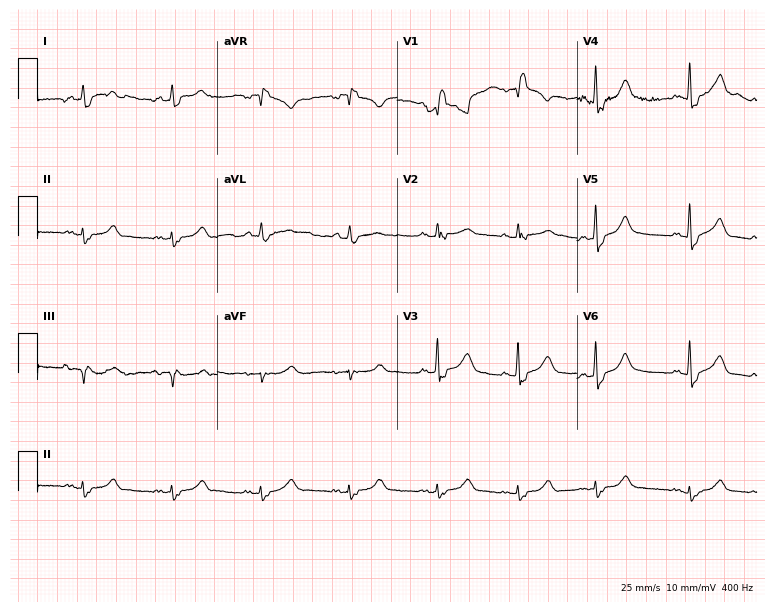
12-lead ECG from a 69-year-old male (7.3-second recording at 400 Hz). Shows right bundle branch block (RBBB).